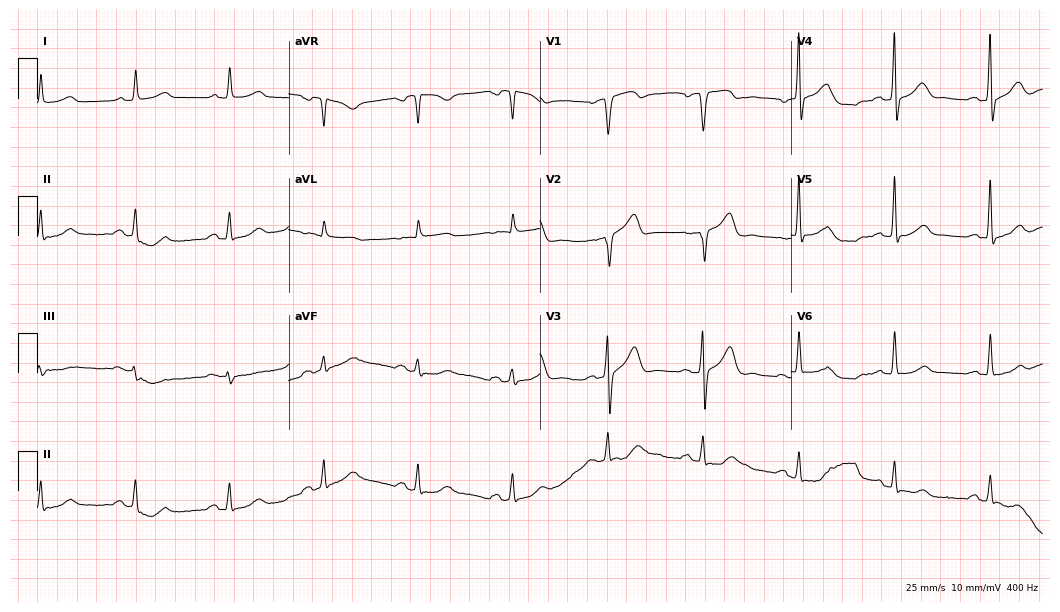
Resting 12-lead electrocardiogram. Patient: a 67-year-old man. None of these six findings is recorded: first-degree AV block, right bundle branch block, left bundle branch block, sinus bradycardia, atrial fibrillation, sinus tachycardia.